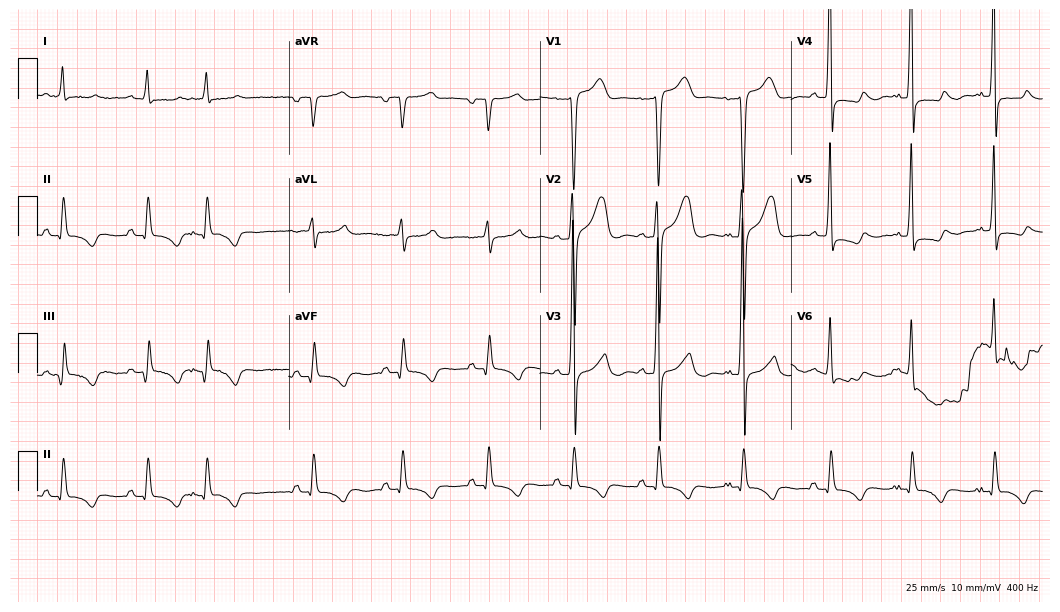
Resting 12-lead electrocardiogram. Patient: a male, 67 years old. None of these six findings is recorded: first-degree AV block, right bundle branch block, left bundle branch block, sinus bradycardia, atrial fibrillation, sinus tachycardia.